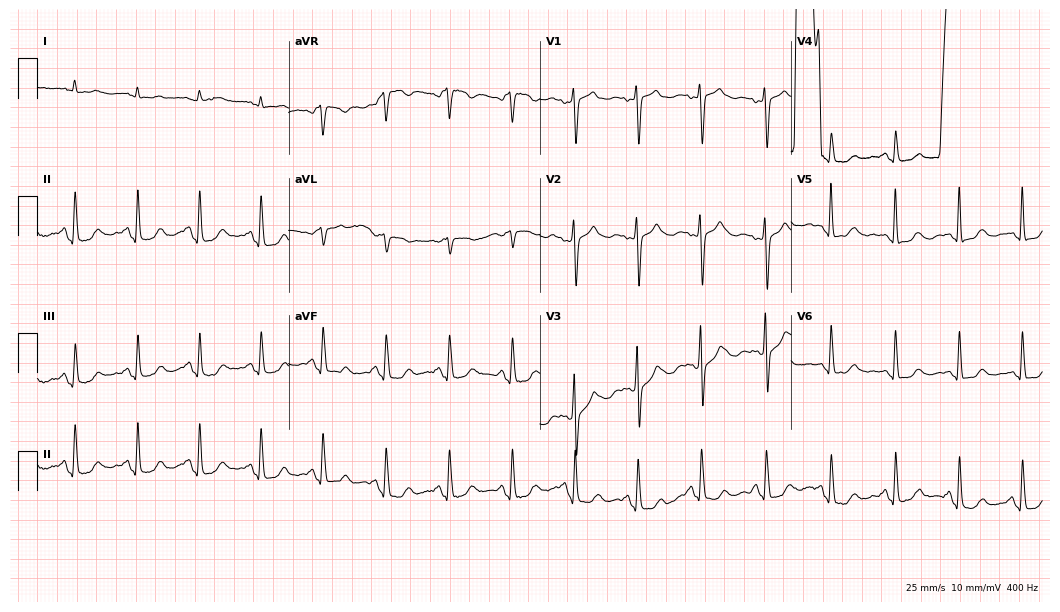
12-lead ECG (10.2-second recording at 400 Hz) from a female, 70 years old. Screened for six findings — first-degree AV block, right bundle branch block, left bundle branch block, sinus bradycardia, atrial fibrillation, sinus tachycardia — none is recorded. Findings outside these six are not listed.